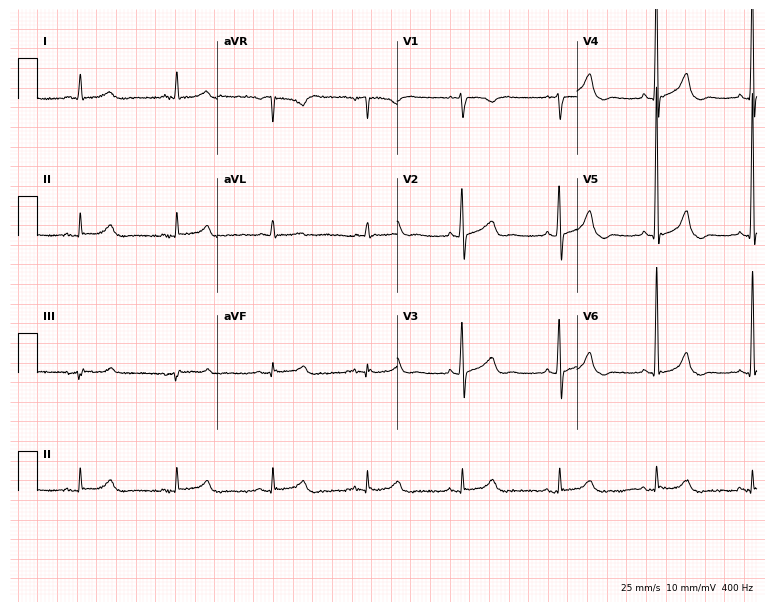
12-lead ECG (7.3-second recording at 400 Hz) from a male patient, 70 years old. Labelled as a normal ECG.